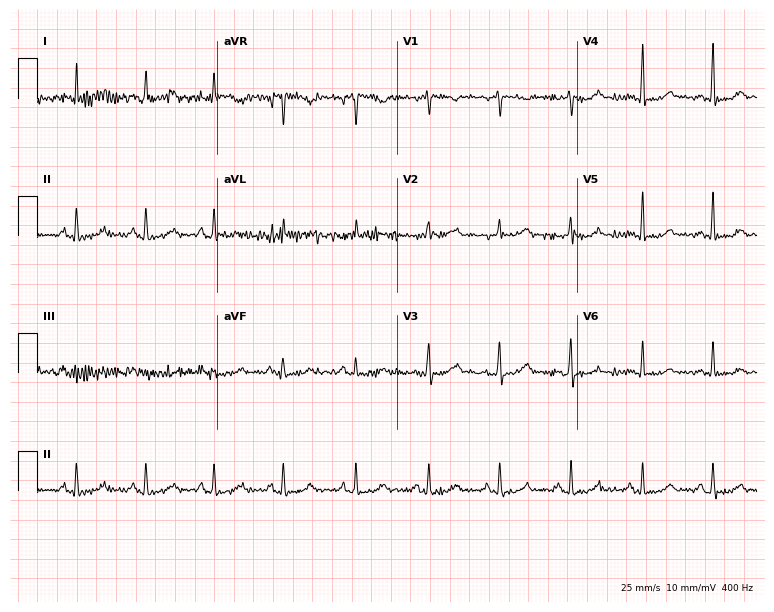
12-lead ECG from a woman, 42 years old. No first-degree AV block, right bundle branch block, left bundle branch block, sinus bradycardia, atrial fibrillation or sinus tachycardia recorded for this tracing.